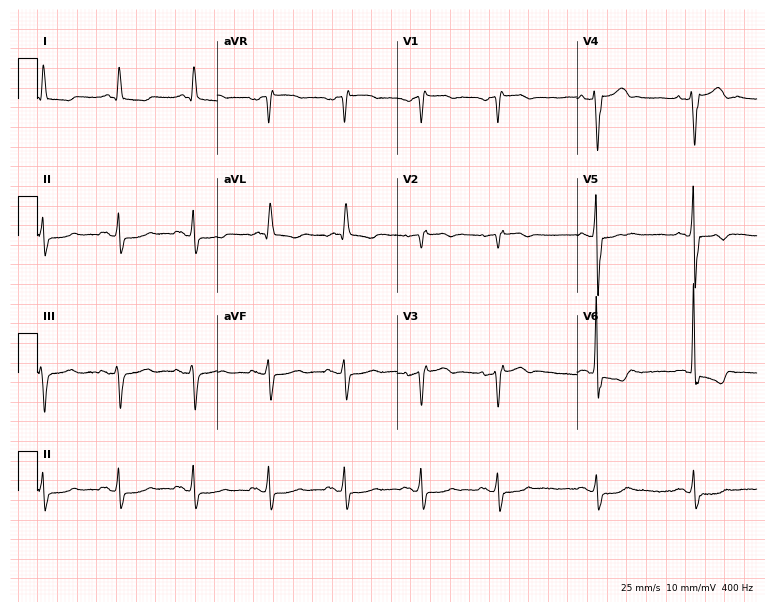
Resting 12-lead electrocardiogram (7.3-second recording at 400 Hz). Patient: a 72-year-old male. None of these six findings is recorded: first-degree AV block, right bundle branch block, left bundle branch block, sinus bradycardia, atrial fibrillation, sinus tachycardia.